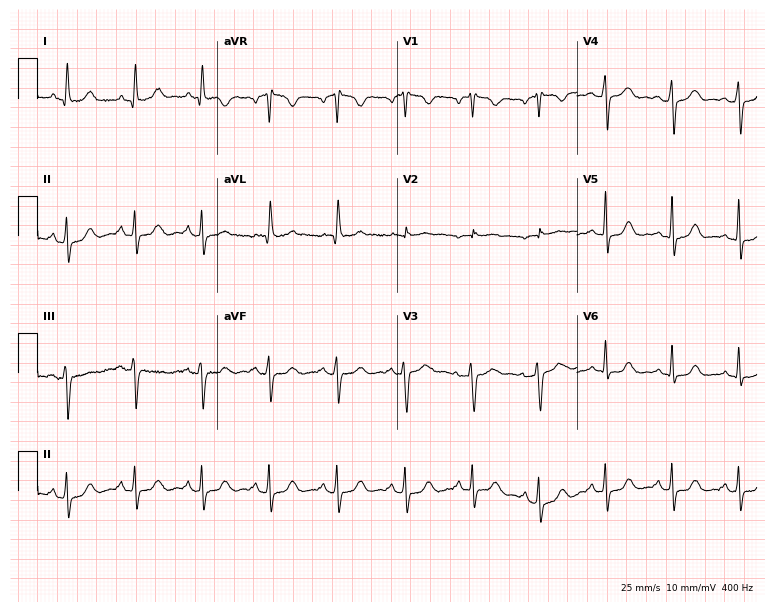
ECG (7.3-second recording at 400 Hz) — a female, 63 years old. Screened for six findings — first-degree AV block, right bundle branch block (RBBB), left bundle branch block (LBBB), sinus bradycardia, atrial fibrillation (AF), sinus tachycardia — none is recorded. Only these six findings were labelled.